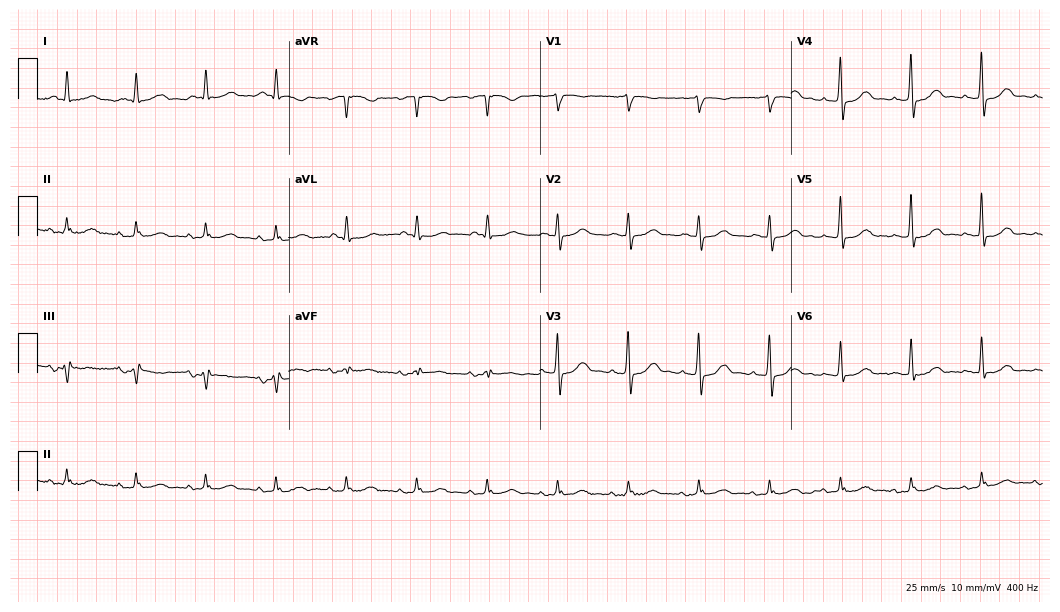
Resting 12-lead electrocardiogram. Patient: a male, 80 years old. Read as a normal ECG.